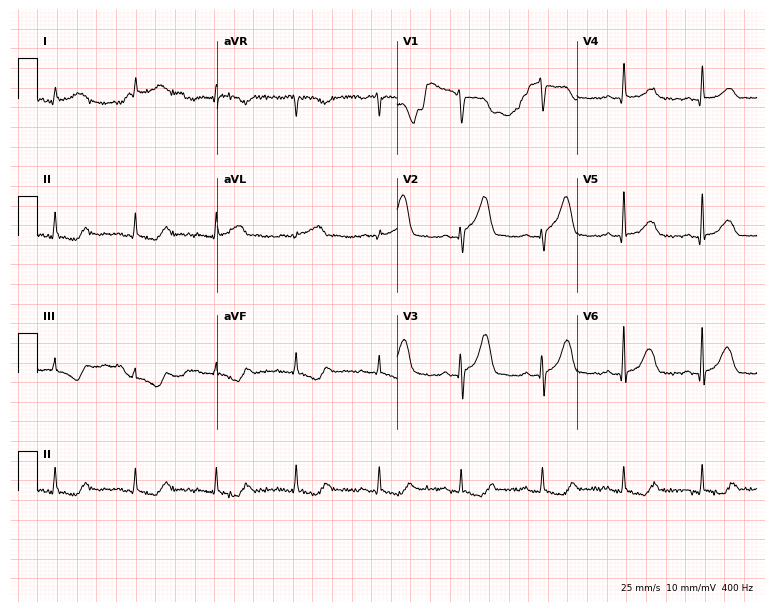
Resting 12-lead electrocardiogram (7.3-second recording at 400 Hz). Patient: a man, 83 years old. None of these six findings is recorded: first-degree AV block, right bundle branch block, left bundle branch block, sinus bradycardia, atrial fibrillation, sinus tachycardia.